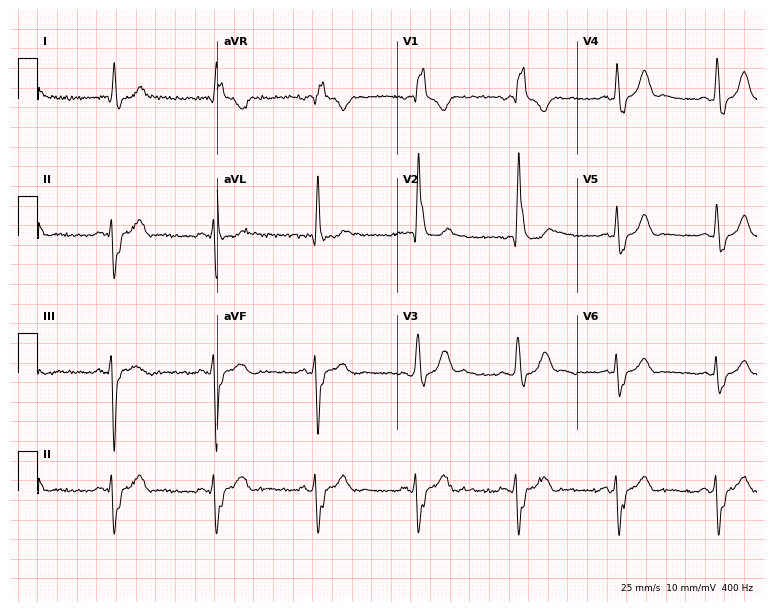
ECG (7.3-second recording at 400 Hz) — a 69-year-old man. Findings include right bundle branch block.